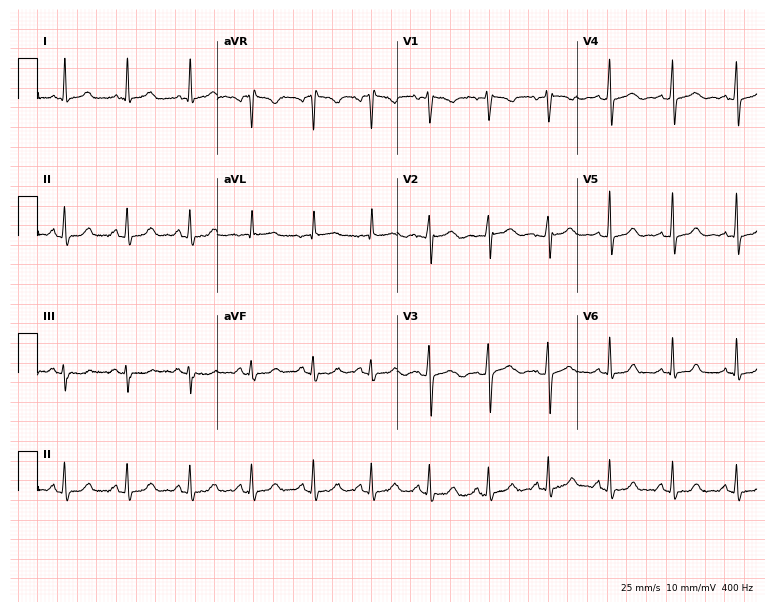
Resting 12-lead electrocardiogram (7.3-second recording at 400 Hz). Patient: a female, 31 years old. Read as a normal ECG.